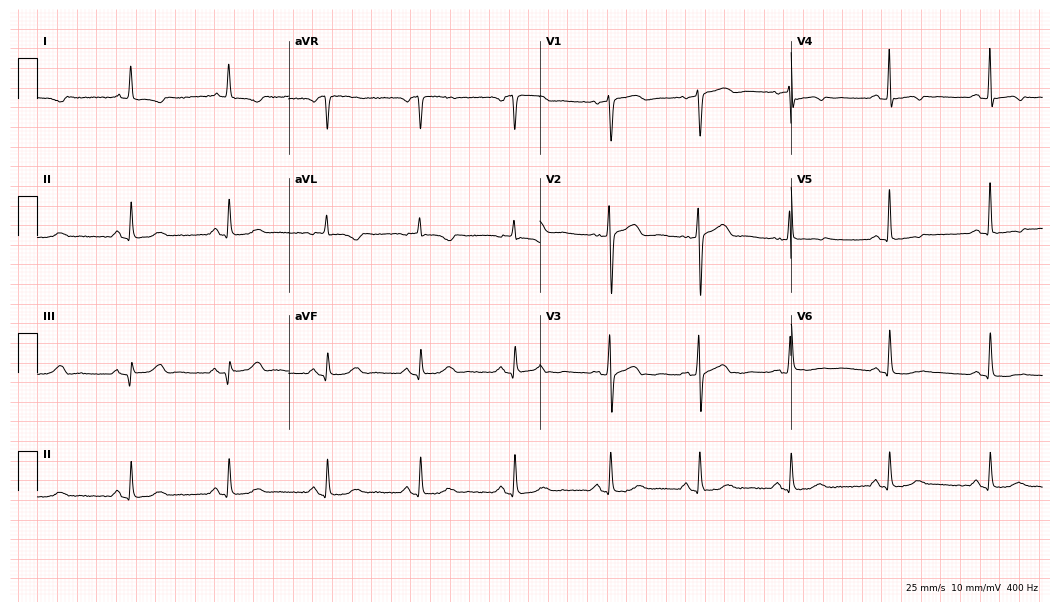
12-lead ECG from a woman, 74 years old (10.2-second recording at 400 Hz). No first-degree AV block, right bundle branch block, left bundle branch block, sinus bradycardia, atrial fibrillation or sinus tachycardia recorded for this tracing. Other findings, if any, are not listed.